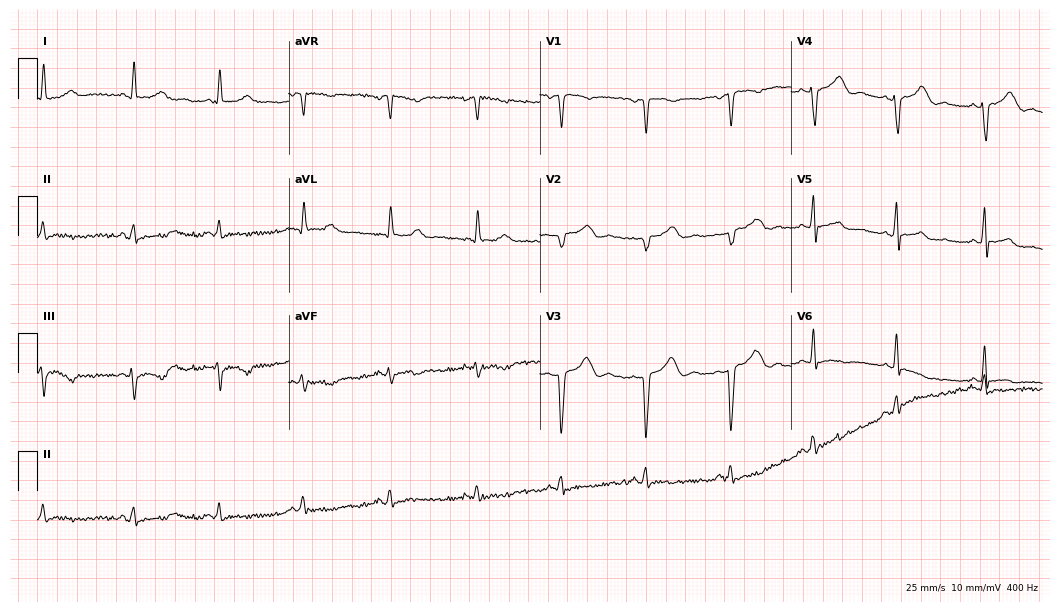
Electrocardiogram (10.2-second recording at 400 Hz), a 35-year-old woman. Of the six screened findings (first-degree AV block, right bundle branch block (RBBB), left bundle branch block (LBBB), sinus bradycardia, atrial fibrillation (AF), sinus tachycardia), none is recorded. Findings outside these six are not listed.